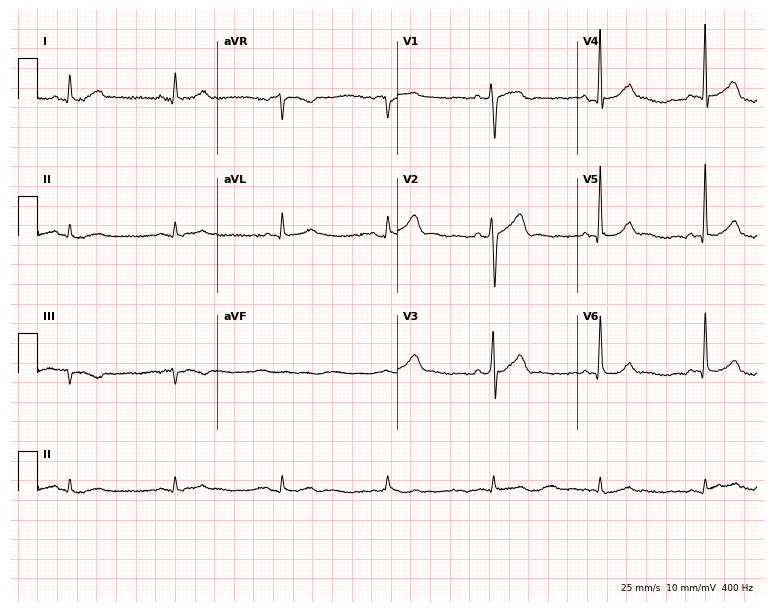
12-lead ECG from a 50-year-old male patient (7.3-second recording at 400 Hz). Recorded interpretation: within normal limits.